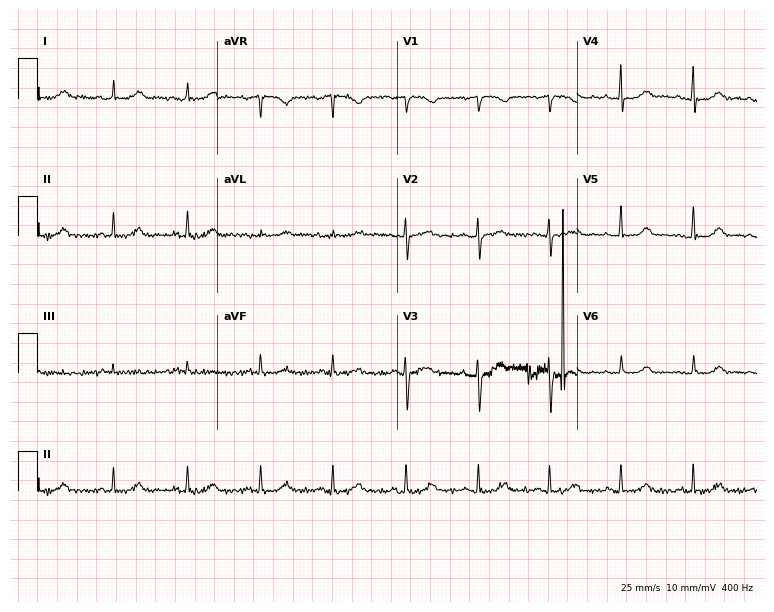
12-lead ECG (7.3-second recording at 400 Hz) from a female patient, 82 years old. Labelled as a normal ECG.